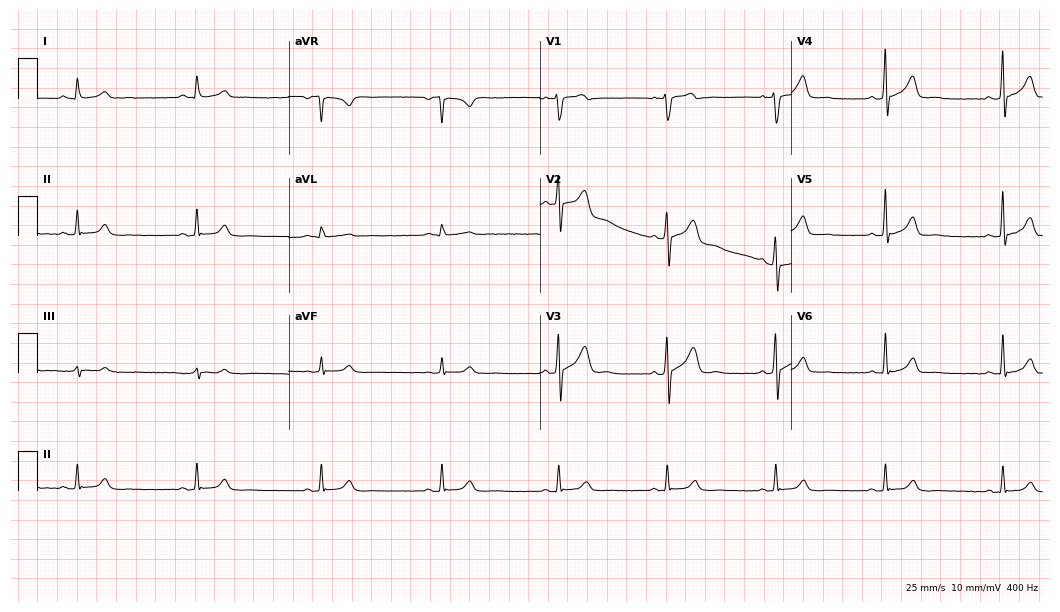
ECG — a man, 45 years old. Labelled as a normal ECG.